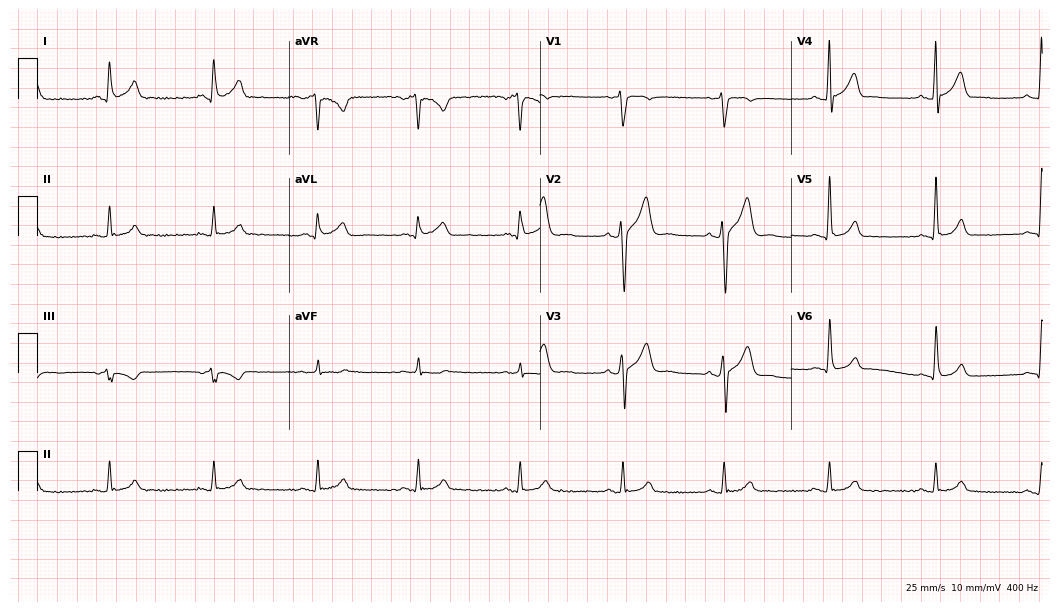
ECG — a 38-year-old male. Labelled as a normal ECG.